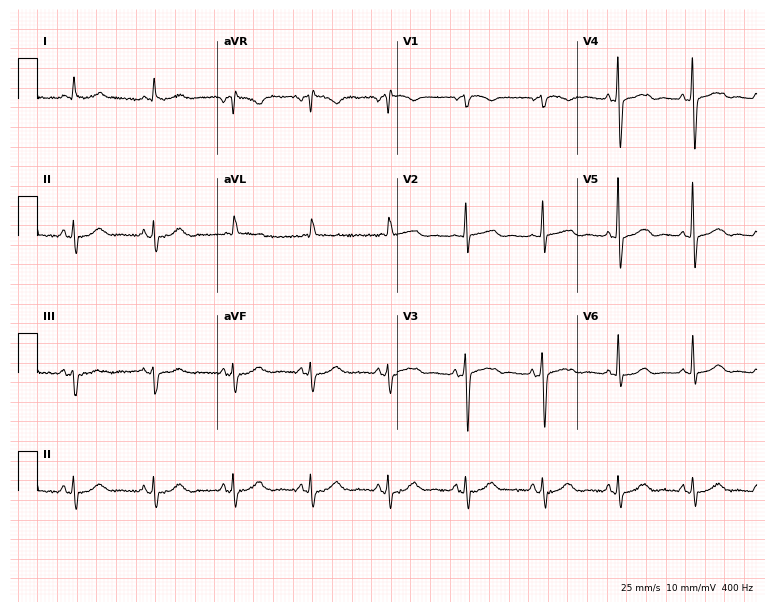
ECG (7.3-second recording at 400 Hz) — a female patient, 76 years old. Screened for six findings — first-degree AV block, right bundle branch block (RBBB), left bundle branch block (LBBB), sinus bradycardia, atrial fibrillation (AF), sinus tachycardia — none is recorded. Other findings, if any, are not listed.